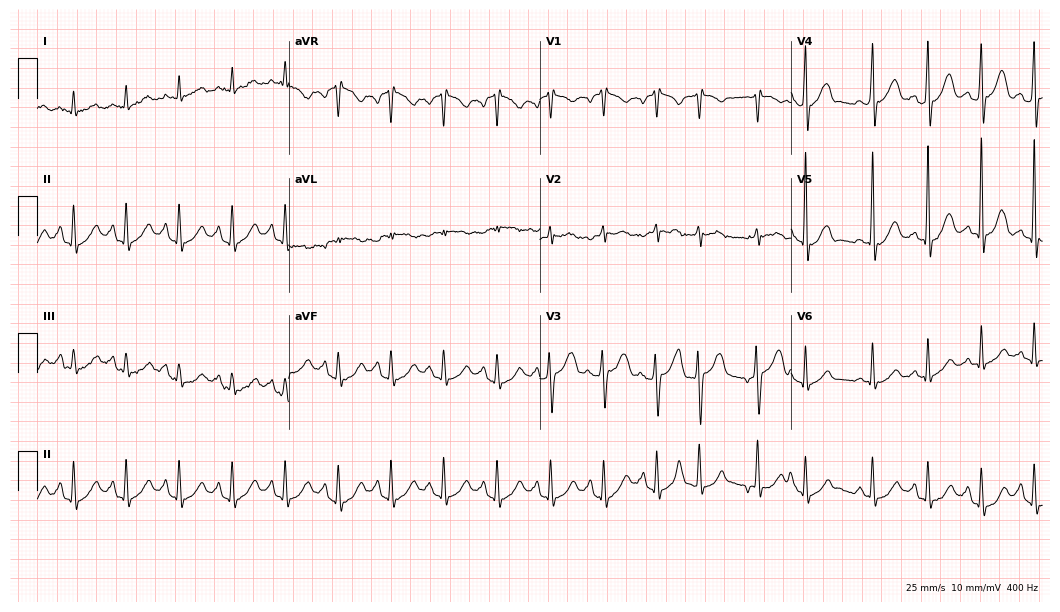
Resting 12-lead electrocardiogram (10.2-second recording at 400 Hz). Patient: a 66-year-old female. None of these six findings is recorded: first-degree AV block, right bundle branch block, left bundle branch block, sinus bradycardia, atrial fibrillation, sinus tachycardia.